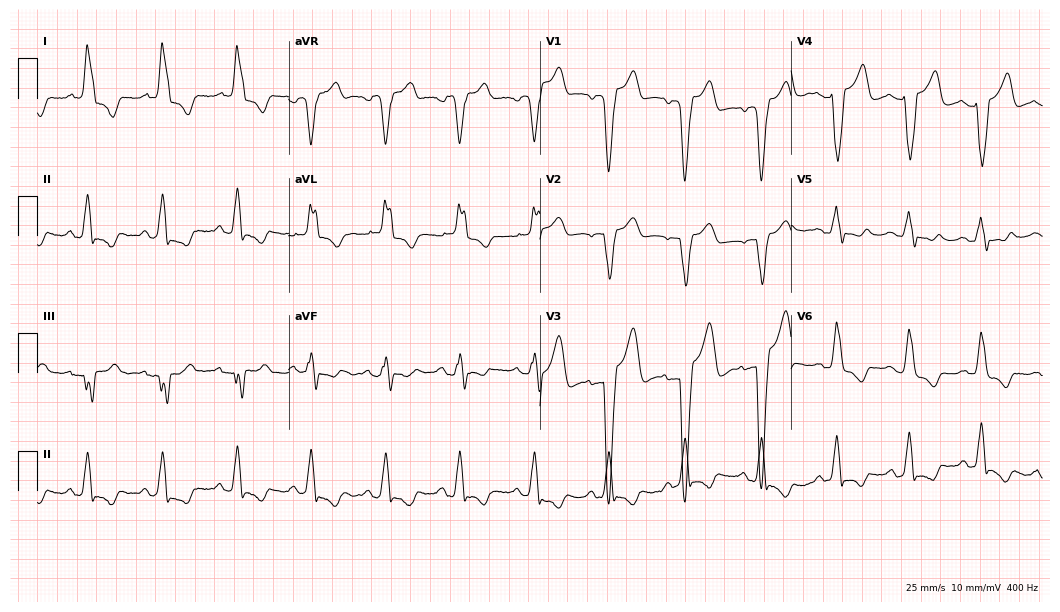
ECG (10.2-second recording at 400 Hz) — a female, 58 years old. Findings include left bundle branch block (LBBB).